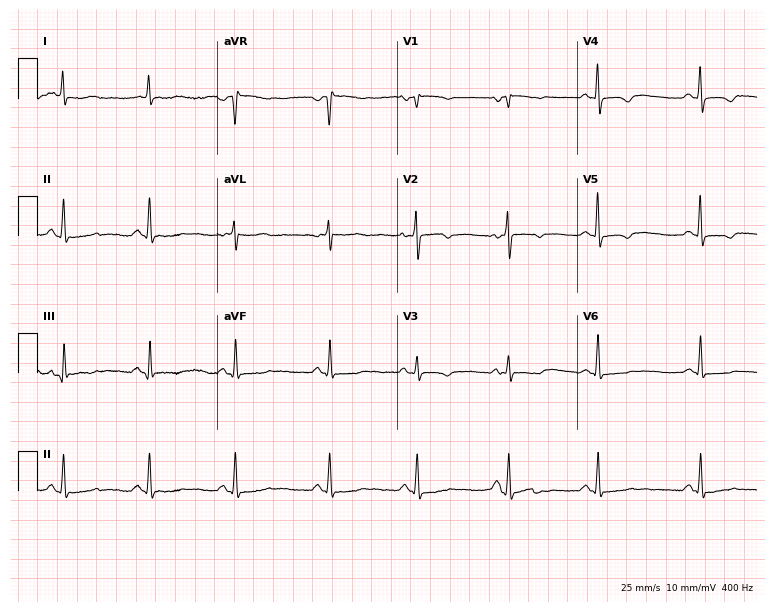
Resting 12-lead electrocardiogram. Patient: a 68-year-old woman. None of these six findings is recorded: first-degree AV block, right bundle branch block (RBBB), left bundle branch block (LBBB), sinus bradycardia, atrial fibrillation (AF), sinus tachycardia.